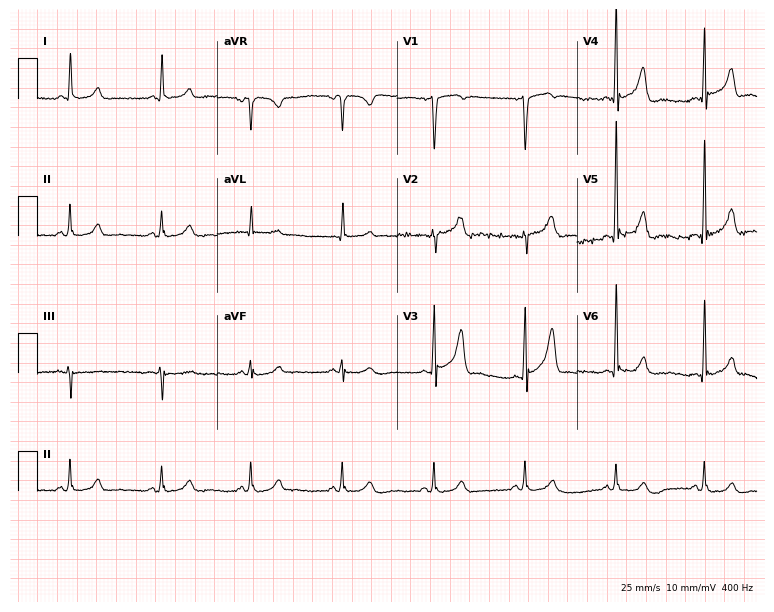
12-lead ECG from a male, 65 years old. Screened for six findings — first-degree AV block, right bundle branch block, left bundle branch block, sinus bradycardia, atrial fibrillation, sinus tachycardia — none is recorded. Other findings, if any, are not listed.